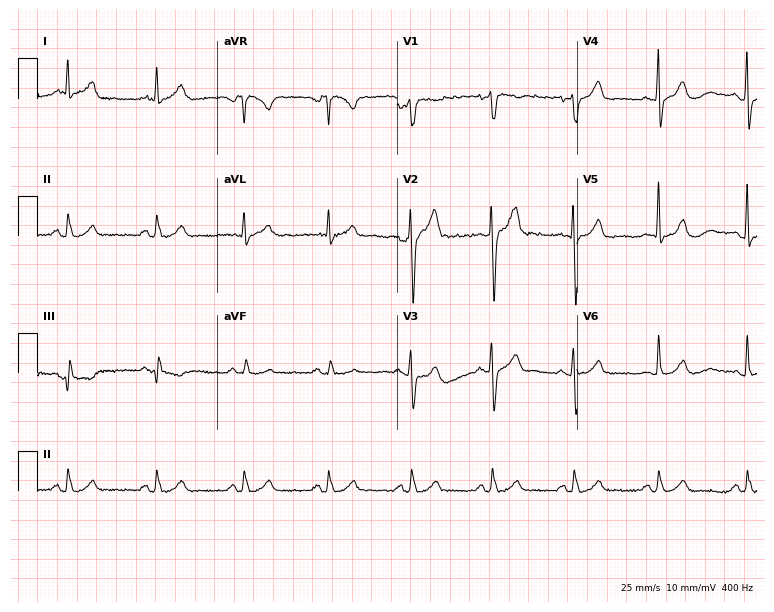
12-lead ECG from a male, 41 years old. Labelled as a normal ECG.